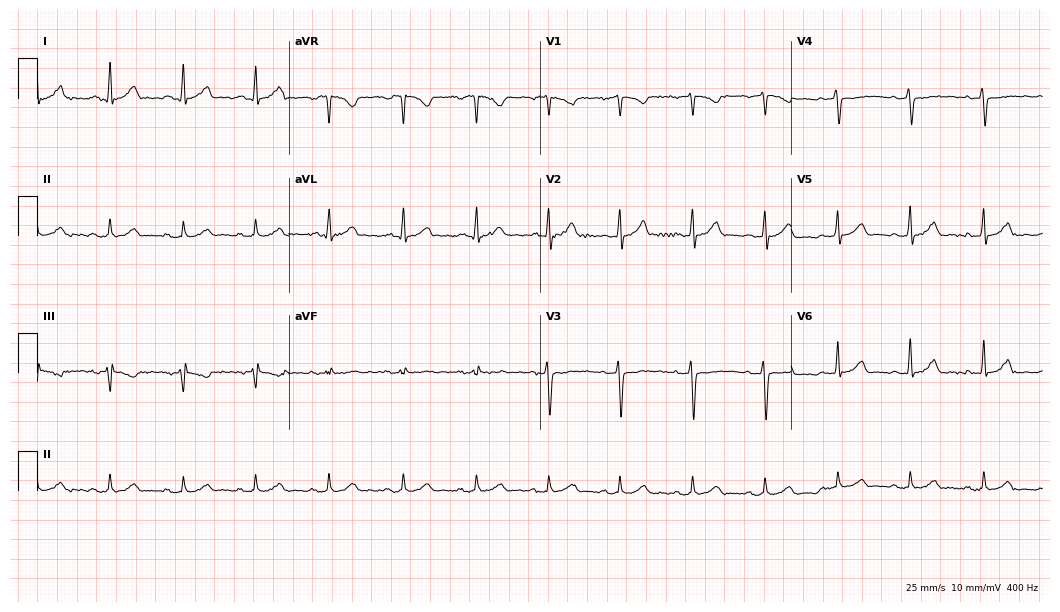
ECG — a female patient, 39 years old. Labelled as a normal ECG.